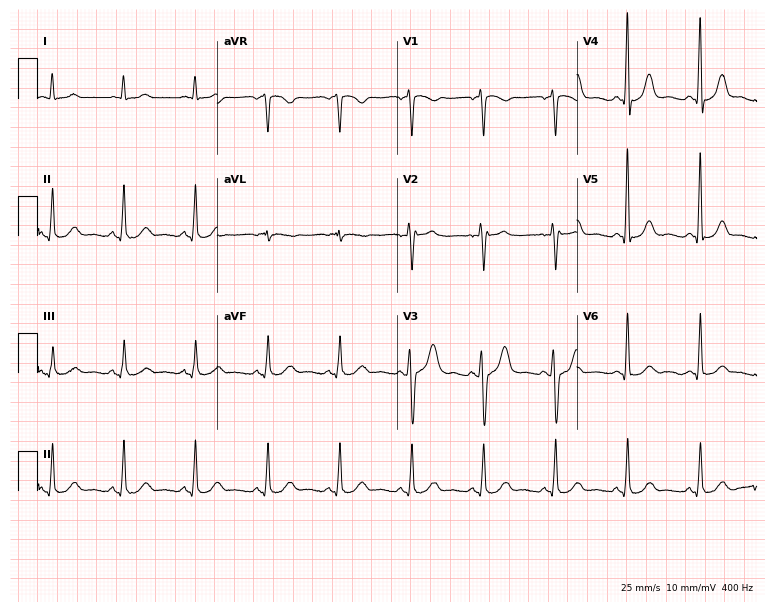
Electrocardiogram, a female, 69 years old. Of the six screened findings (first-degree AV block, right bundle branch block (RBBB), left bundle branch block (LBBB), sinus bradycardia, atrial fibrillation (AF), sinus tachycardia), none is recorded.